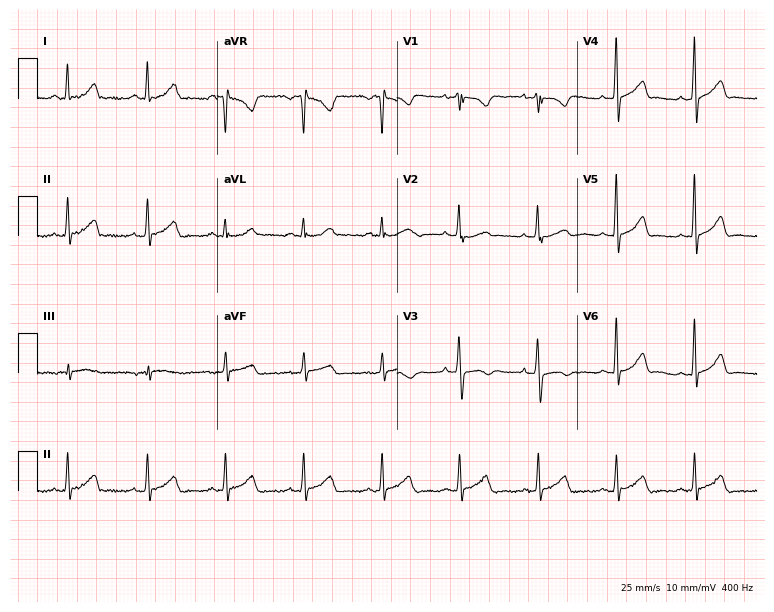
Resting 12-lead electrocardiogram (7.3-second recording at 400 Hz). Patient: a 30-year-old female. Read as a normal ECG.